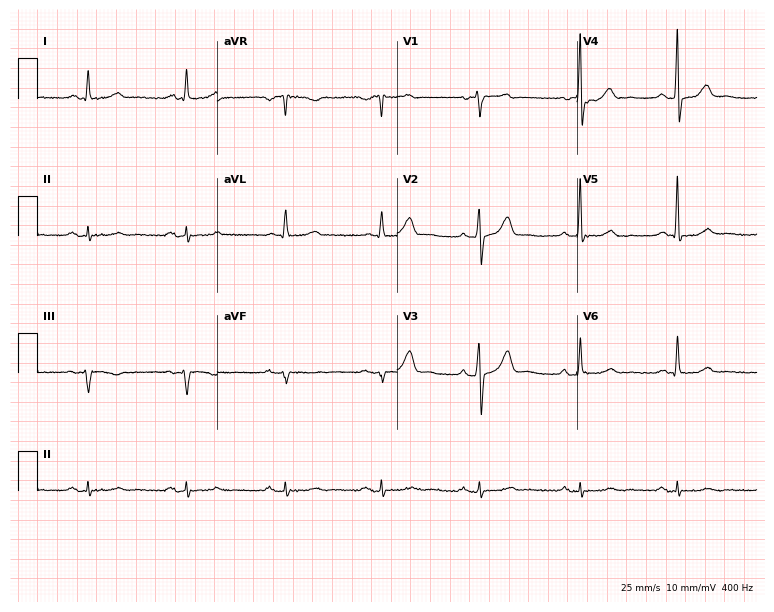
Standard 12-lead ECG recorded from a man, 61 years old. None of these six findings is recorded: first-degree AV block, right bundle branch block (RBBB), left bundle branch block (LBBB), sinus bradycardia, atrial fibrillation (AF), sinus tachycardia. Findings outside these six are not listed.